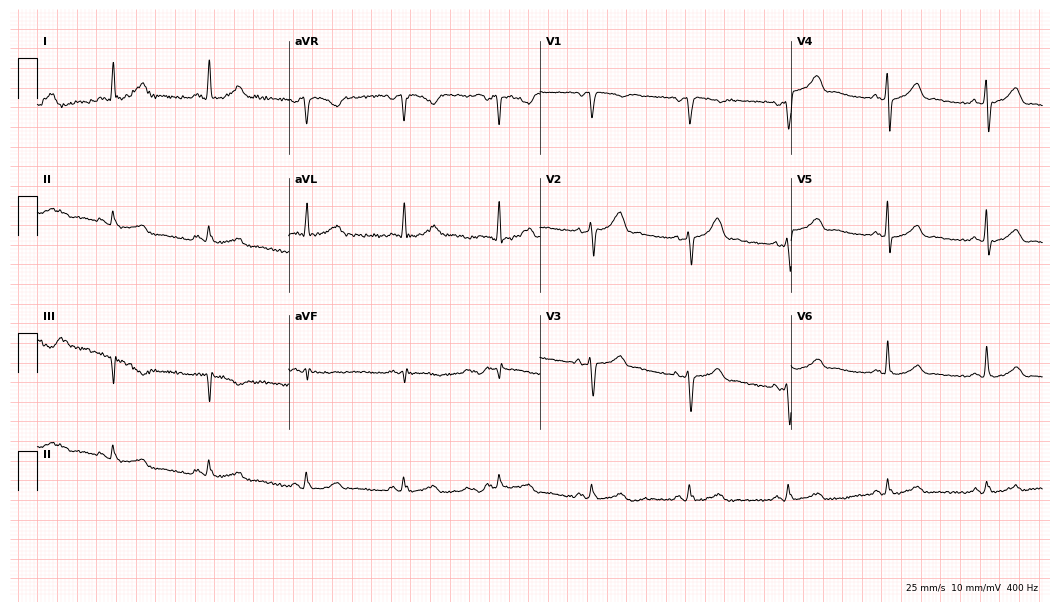
12-lead ECG (10.2-second recording at 400 Hz) from a male patient, 52 years old. Labelled as a normal ECG.